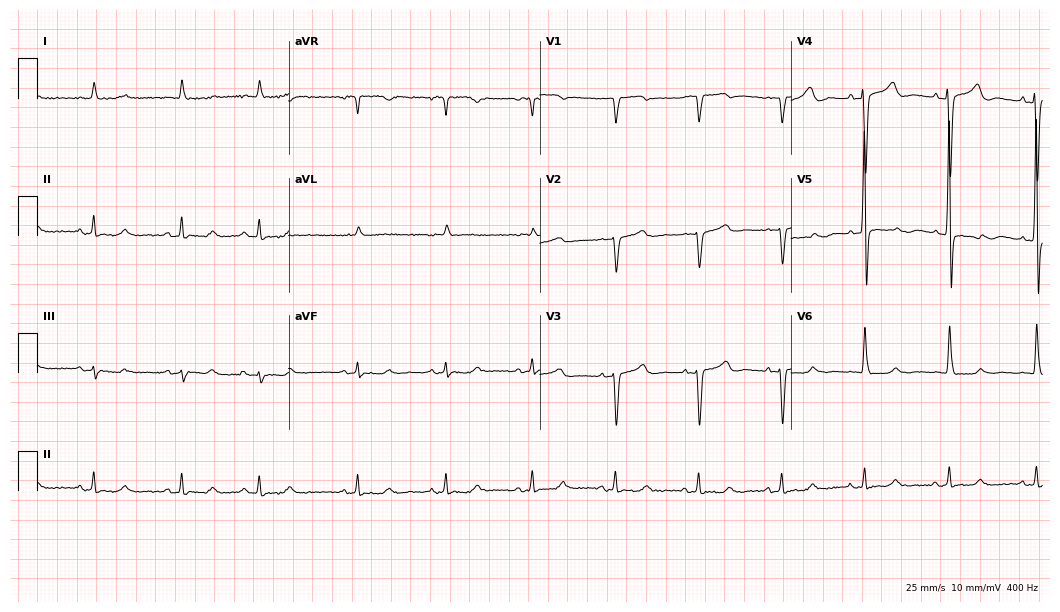
12-lead ECG from a female, 83 years old. Screened for six findings — first-degree AV block, right bundle branch block (RBBB), left bundle branch block (LBBB), sinus bradycardia, atrial fibrillation (AF), sinus tachycardia — none is recorded.